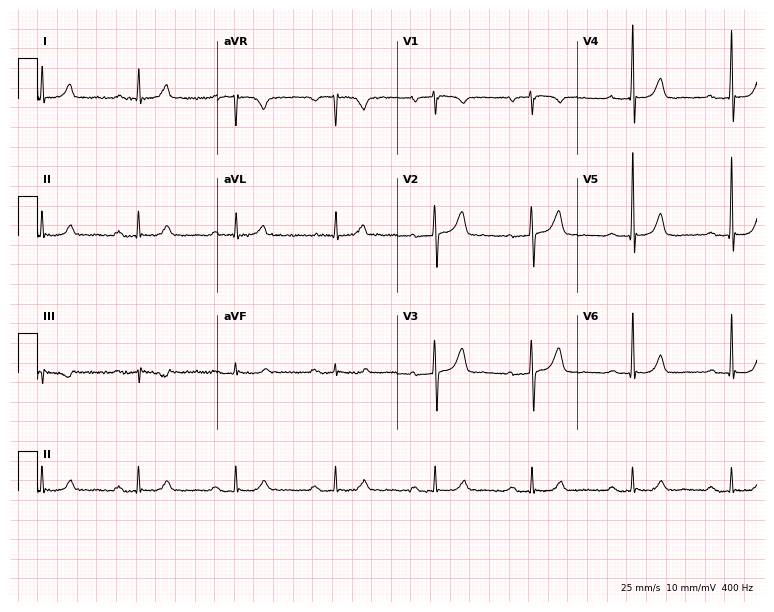
Electrocardiogram, a 68-year-old woman. Interpretation includes first-degree AV block.